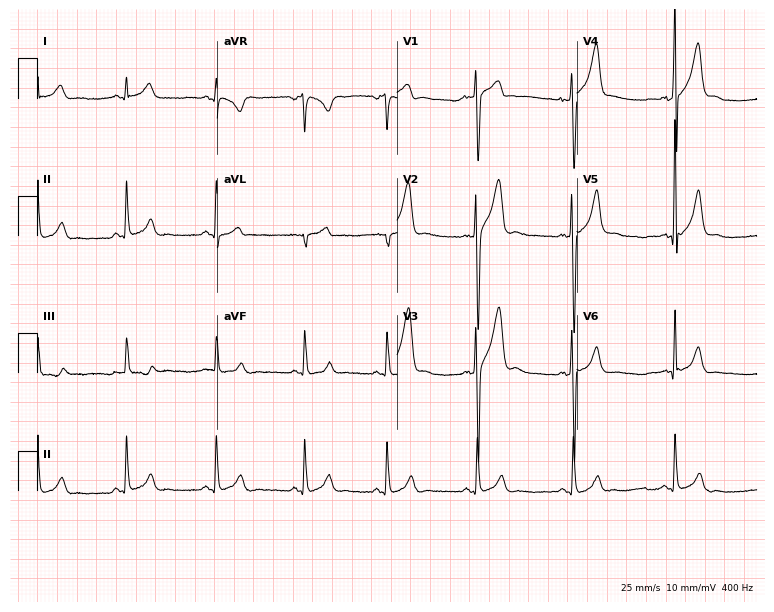
Standard 12-lead ECG recorded from a male patient, 20 years old. Read as a normal ECG.